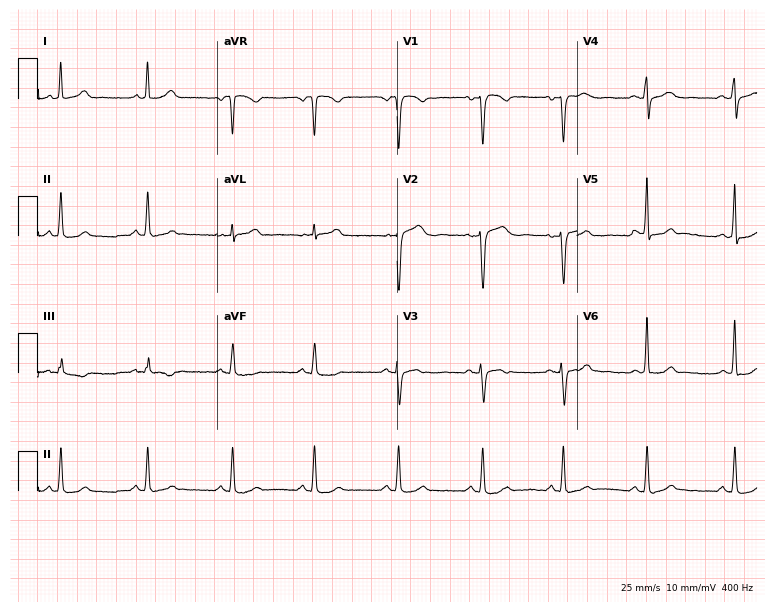
12-lead ECG from a 47-year-old woman. Recorded interpretation: within normal limits.